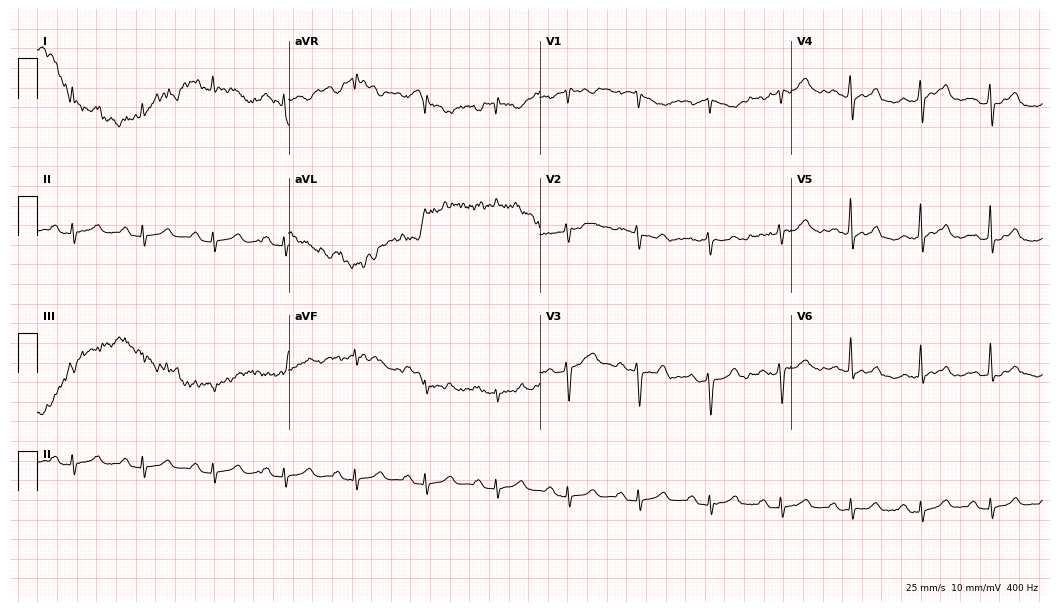
12-lead ECG from a 53-year-old woman. Screened for six findings — first-degree AV block, right bundle branch block (RBBB), left bundle branch block (LBBB), sinus bradycardia, atrial fibrillation (AF), sinus tachycardia — none is recorded. Only these six findings were labelled.